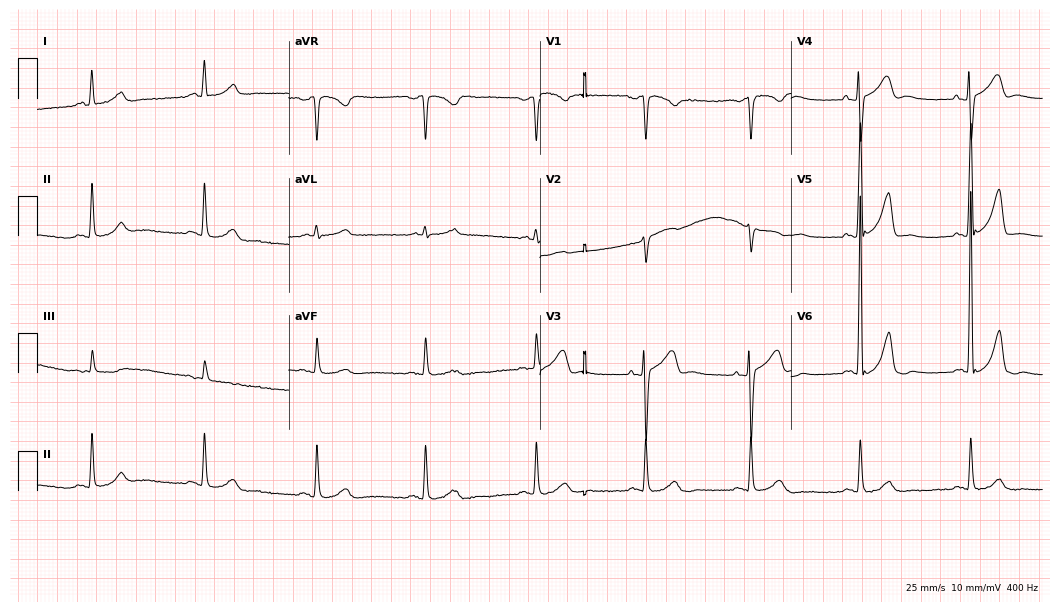
12-lead ECG from a male, 77 years old. Screened for six findings — first-degree AV block, right bundle branch block (RBBB), left bundle branch block (LBBB), sinus bradycardia, atrial fibrillation (AF), sinus tachycardia — none is recorded. Findings outside these six are not listed.